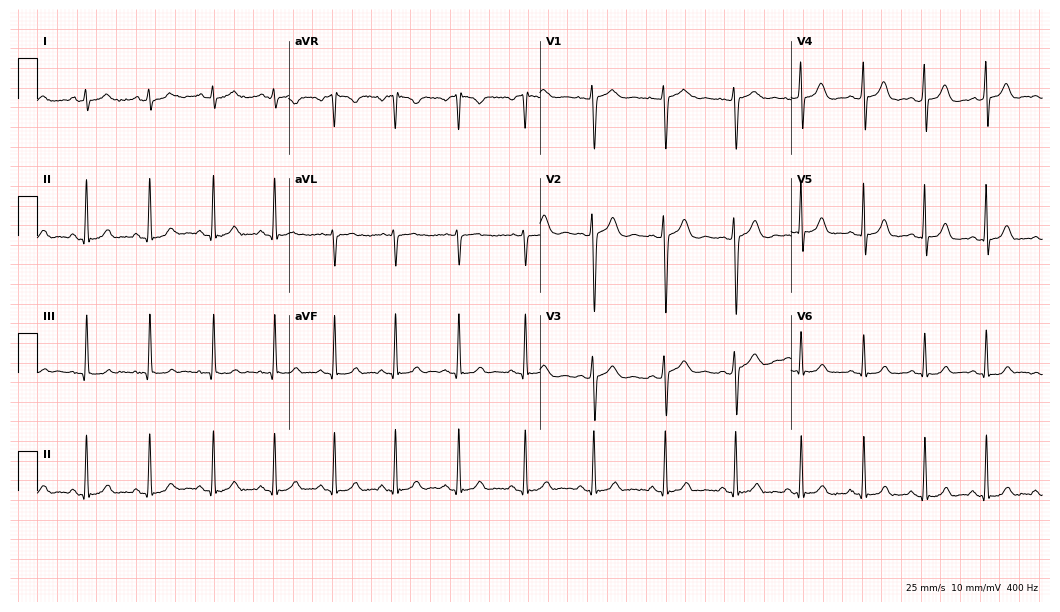
Resting 12-lead electrocardiogram. Patient: a female, 21 years old. Read as a normal ECG.